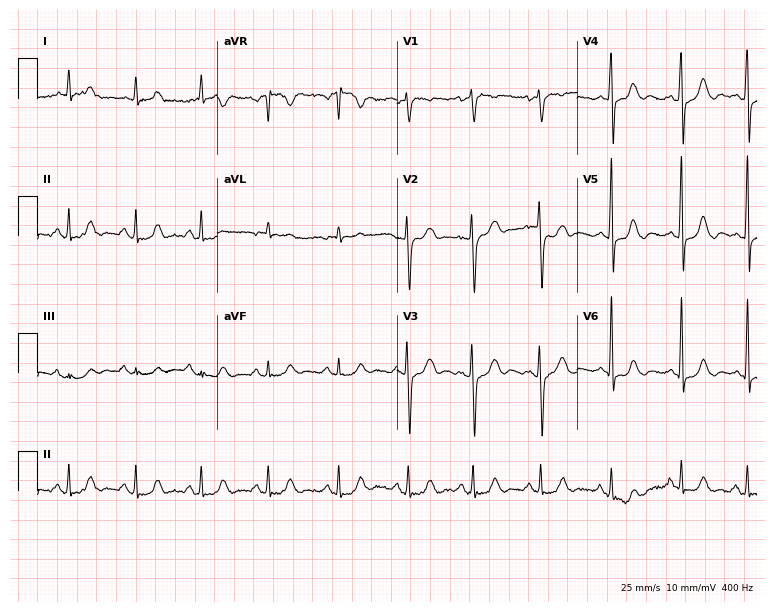
12-lead ECG from a woman, 57 years old. No first-degree AV block, right bundle branch block, left bundle branch block, sinus bradycardia, atrial fibrillation or sinus tachycardia recorded for this tracing.